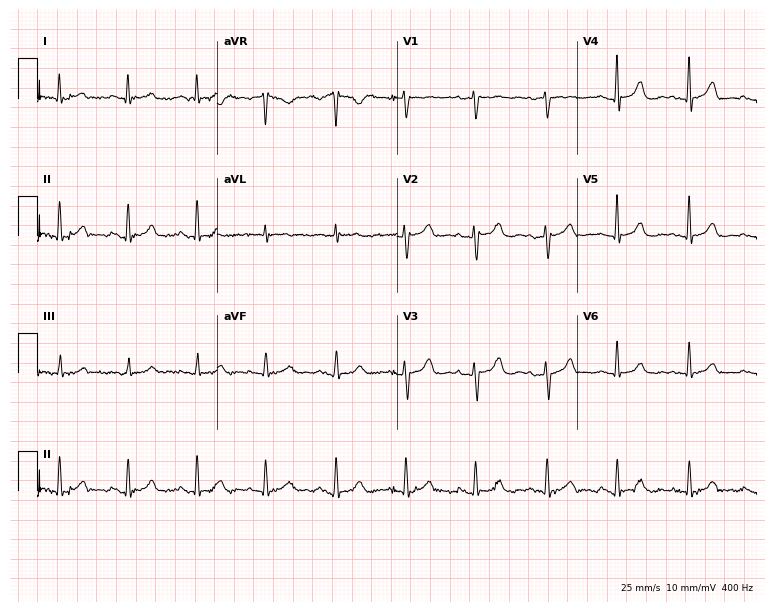
Electrocardiogram (7.3-second recording at 400 Hz), a 76-year-old female patient. Overall reading on record: normal ECG.